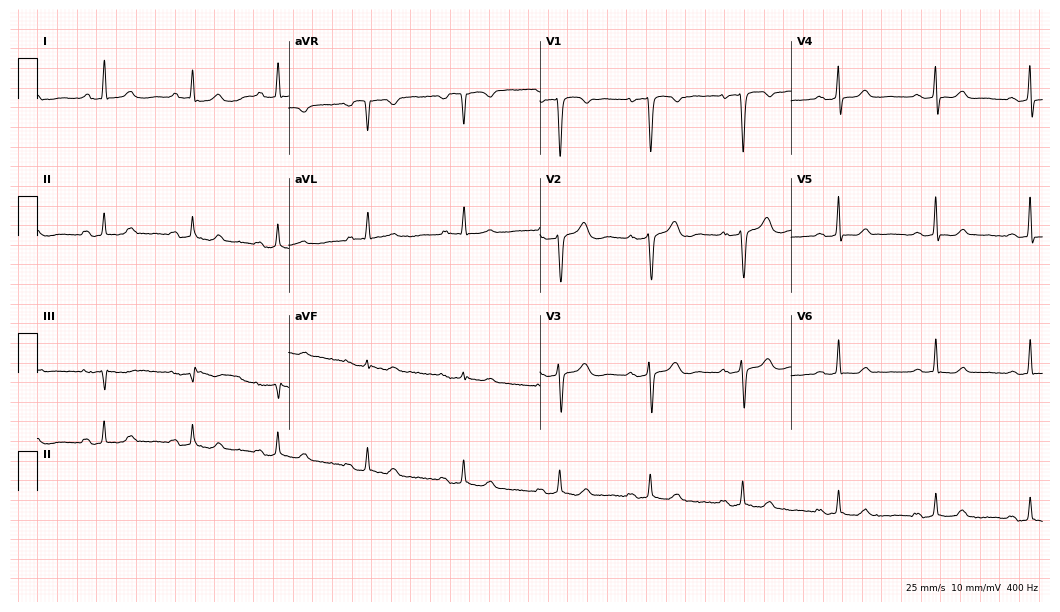
Electrocardiogram (10.2-second recording at 400 Hz), a female, 47 years old. Overall reading on record: normal ECG.